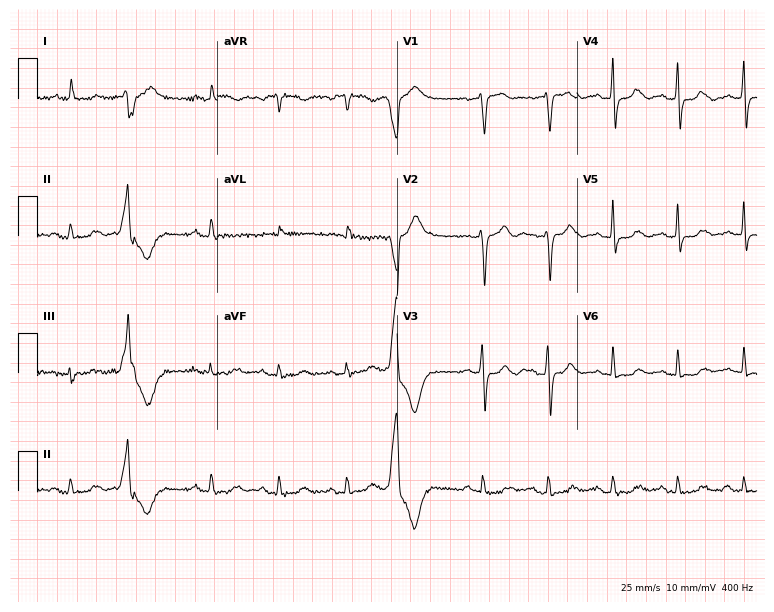
Standard 12-lead ECG recorded from a 61-year-old female. Read as a normal ECG.